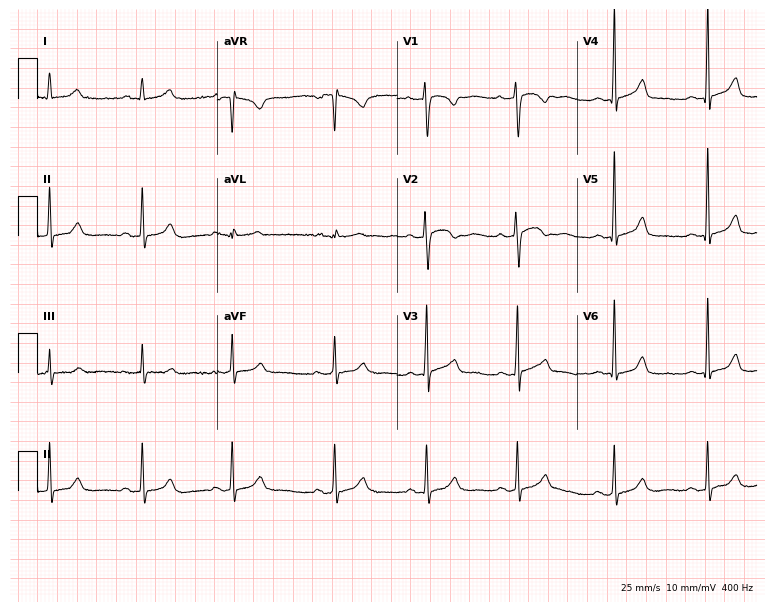
ECG (7.3-second recording at 400 Hz) — a 27-year-old female patient. Labelled as a normal ECG.